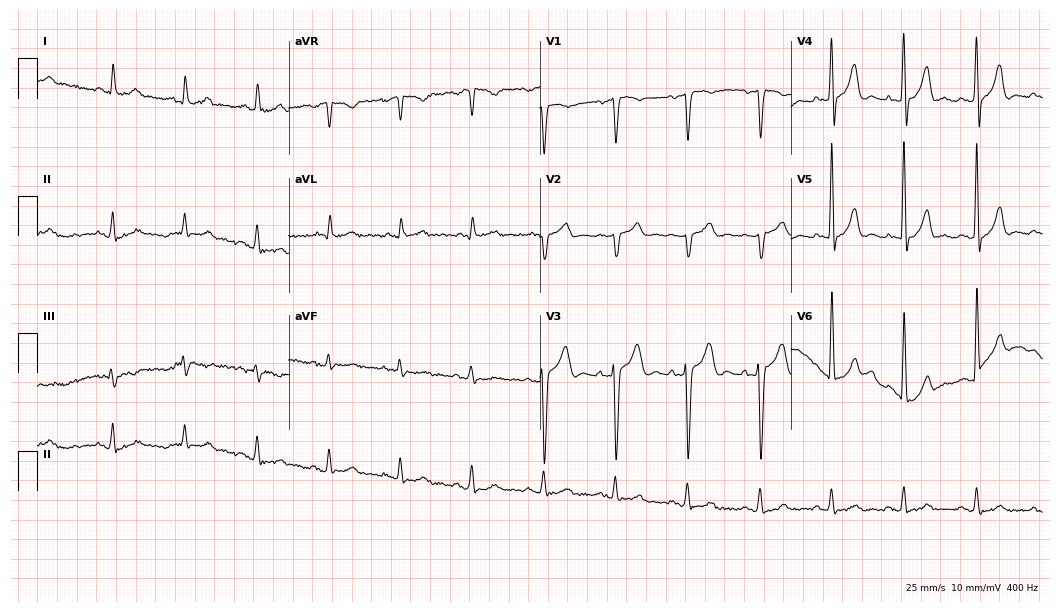
Resting 12-lead electrocardiogram. Patient: a man, 68 years old. None of these six findings is recorded: first-degree AV block, right bundle branch block, left bundle branch block, sinus bradycardia, atrial fibrillation, sinus tachycardia.